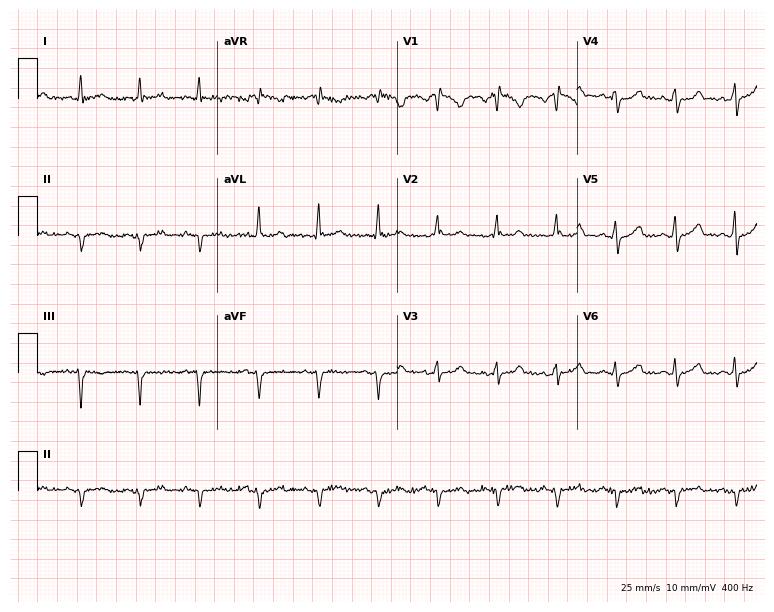
12-lead ECG from a 58-year-old man (7.3-second recording at 400 Hz). No first-degree AV block, right bundle branch block, left bundle branch block, sinus bradycardia, atrial fibrillation or sinus tachycardia recorded for this tracing.